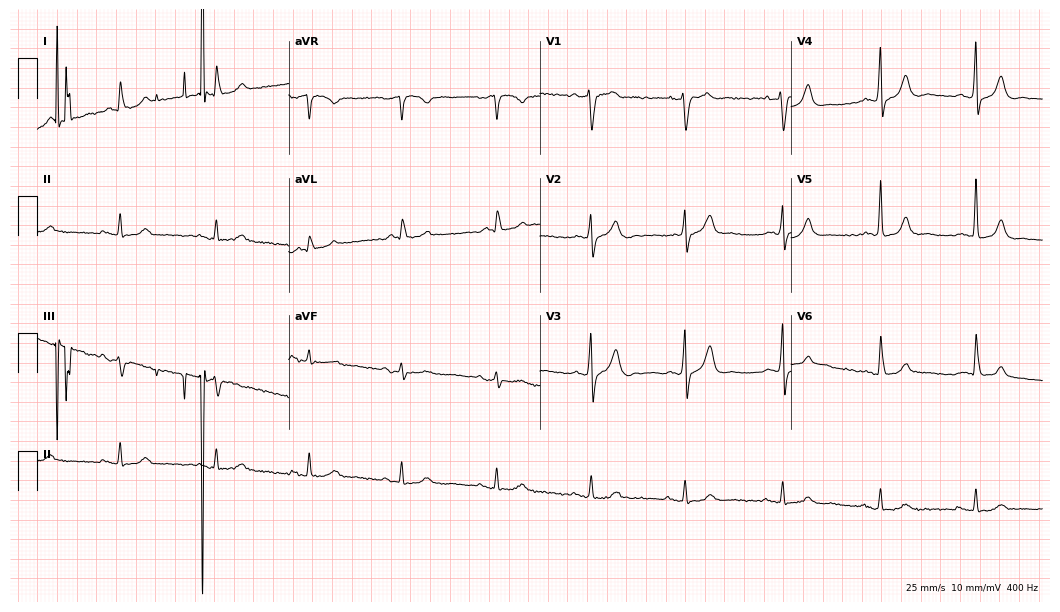
Electrocardiogram, a male, 56 years old. Of the six screened findings (first-degree AV block, right bundle branch block (RBBB), left bundle branch block (LBBB), sinus bradycardia, atrial fibrillation (AF), sinus tachycardia), none is recorded.